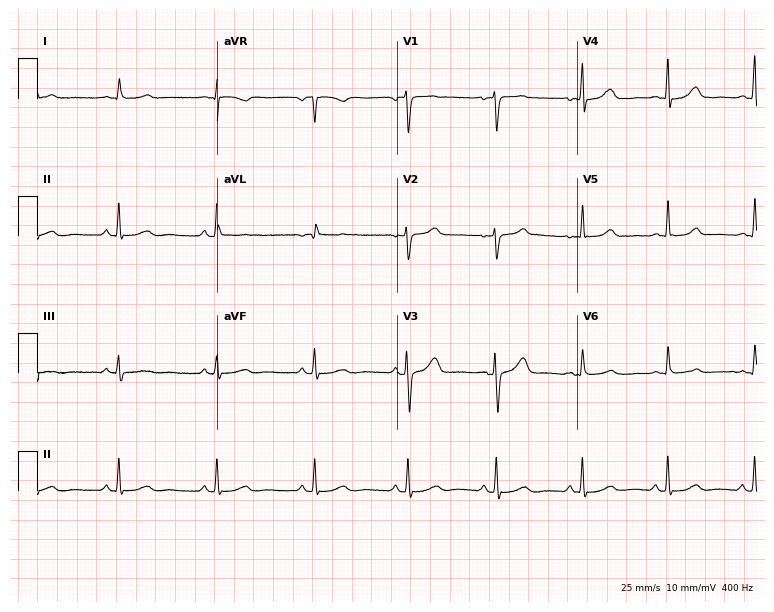
Standard 12-lead ECG recorded from a female, 47 years old. Read as a normal ECG.